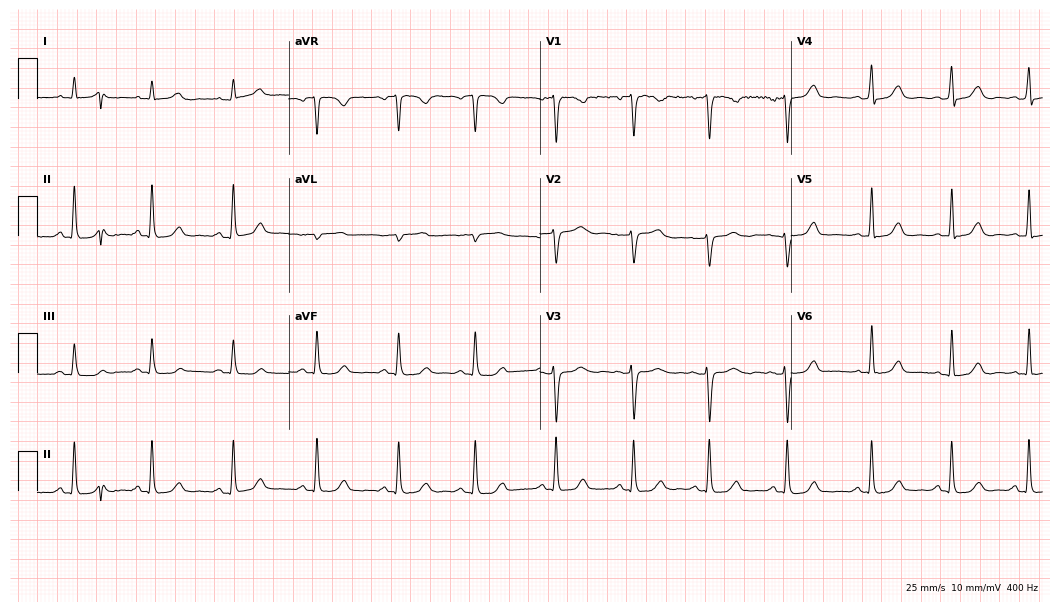
ECG (10.2-second recording at 400 Hz) — a female patient, 40 years old. Labelled as a normal ECG.